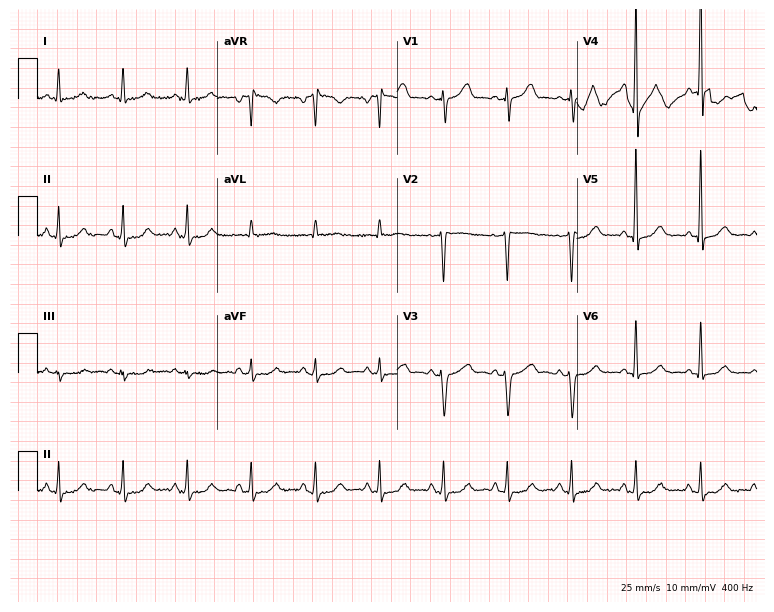
12-lead ECG from a 52-year-old man. Labelled as a normal ECG.